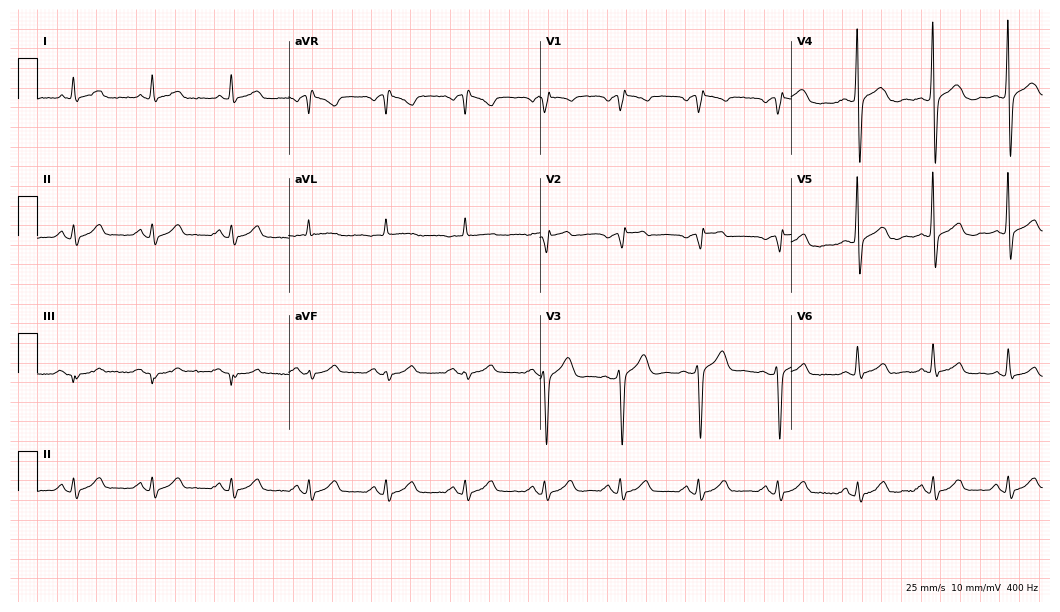
Electrocardiogram, a male, 54 years old. Of the six screened findings (first-degree AV block, right bundle branch block (RBBB), left bundle branch block (LBBB), sinus bradycardia, atrial fibrillation (AF), sinus tachycardia), none is recorded. Only these six findings were labelled.